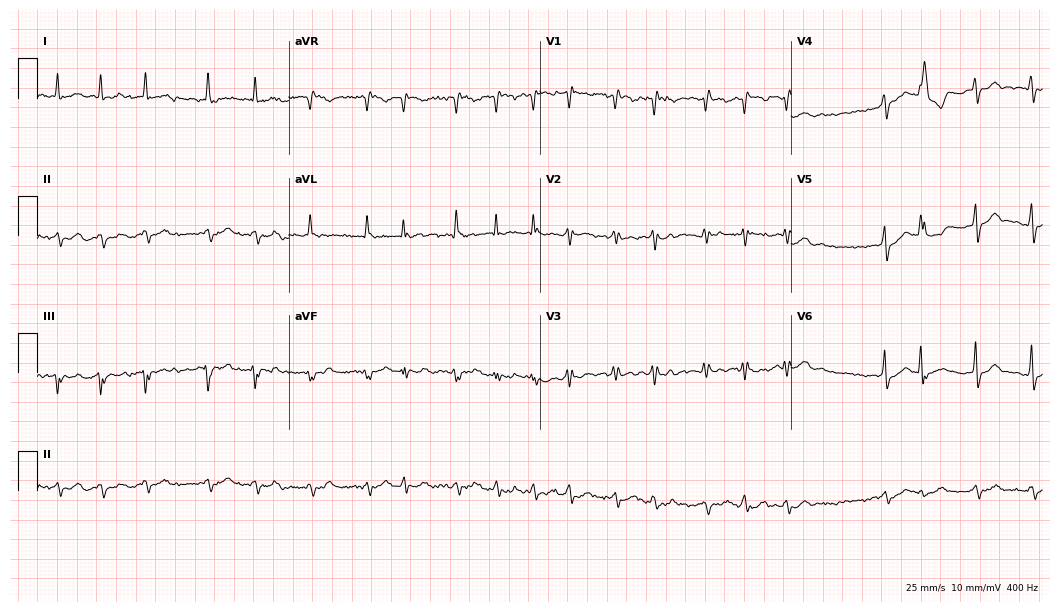
Resting 12-lead electrocardiogram (10.2-second recording at 400 Hz). Patient: a man, 78 years old. The tracing shows atrial fibrillation, sinus tachycardia (a sinus rate of 100 beats per minute or more).